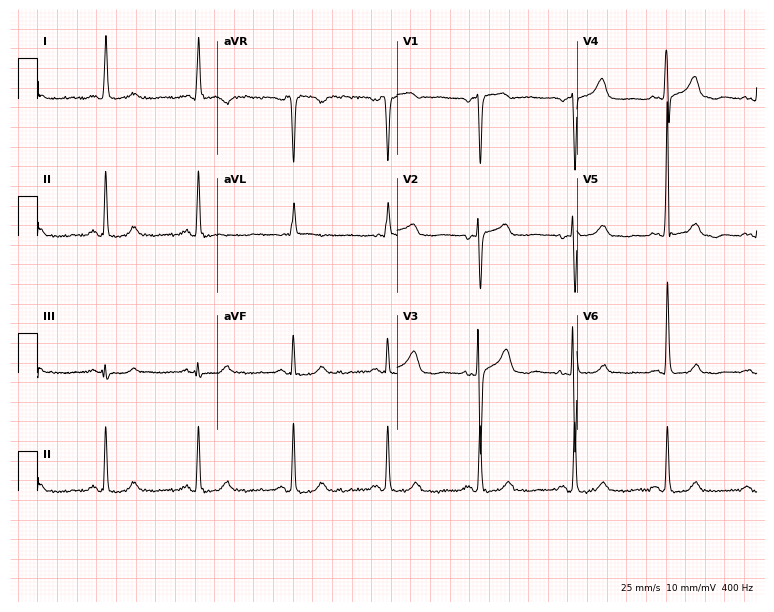
Resting 12-lead electrocardiogram (7.3-second recording at 400 Hz). Patient: a 75-year-old female. None of these six findings is recorded: first-degree AV block, right bundle branch block (RBBB), left bundle branch block (LBBB), sinus bradycardia, atrial fibrillation (AF), sinus tachycardia.